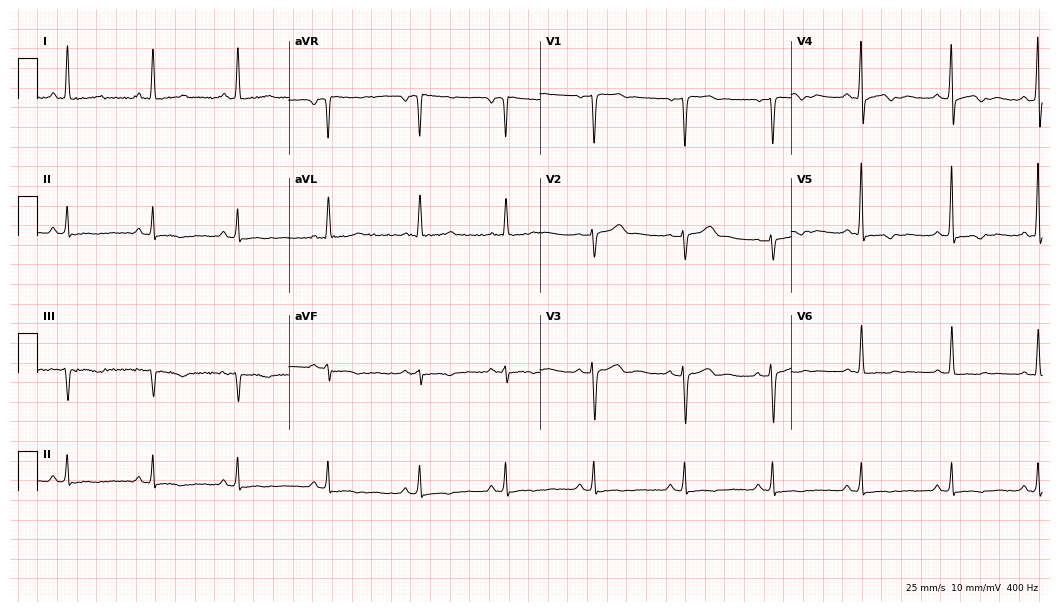
Electrocardiogram (10.2-second recording at 400 Hz), a 49-year-old female. Of the six screened findings (first-degree AV block, right bundle branch block (RBBB), left bundle branch block (LBBB), sinus bradycardia, atrial fibrillation (AF), sinus tachycardia), none is recorded. Other findings, if any, are not listed.